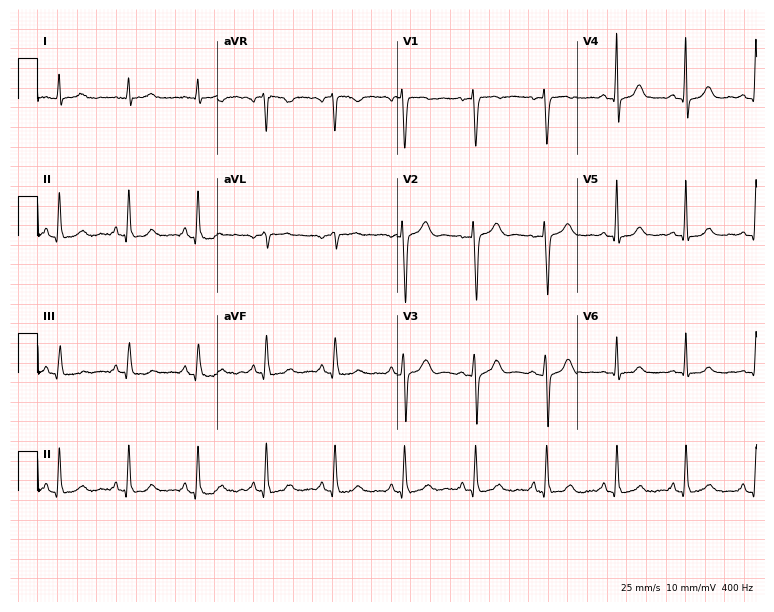
12-lead ECG from a 42-year-old female patient. Labelled as a normal ECG.